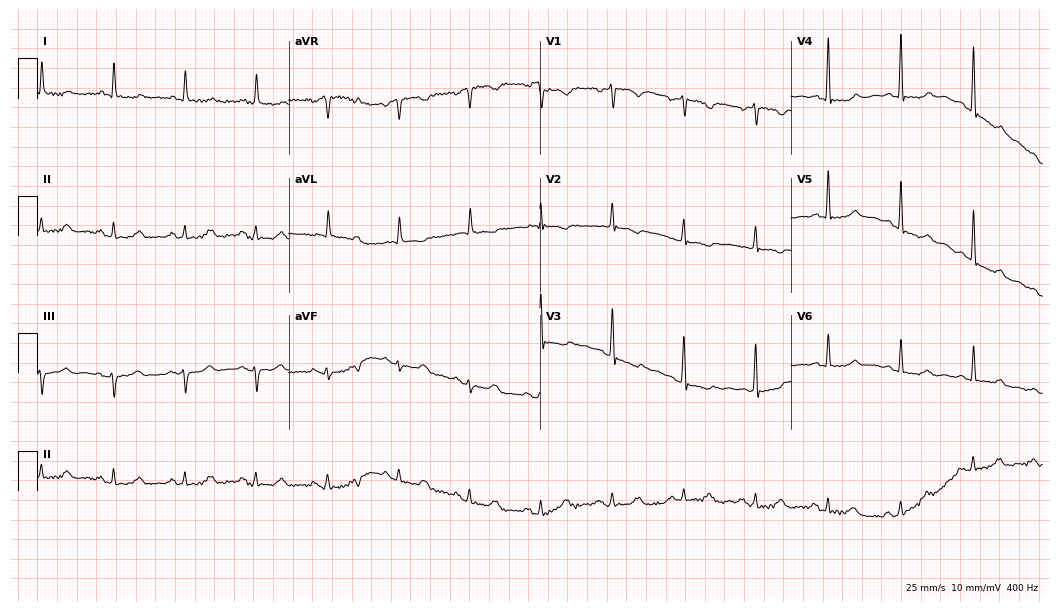
12-lead ECG from an 81-year-old female. Screened for six findings — first-degree AV block, right bundle branch block, left bundle branch block, sinus bradycardia, atrial fibrillation, sinus tachycardia — none is recorded. Findings outside these six are not listed.